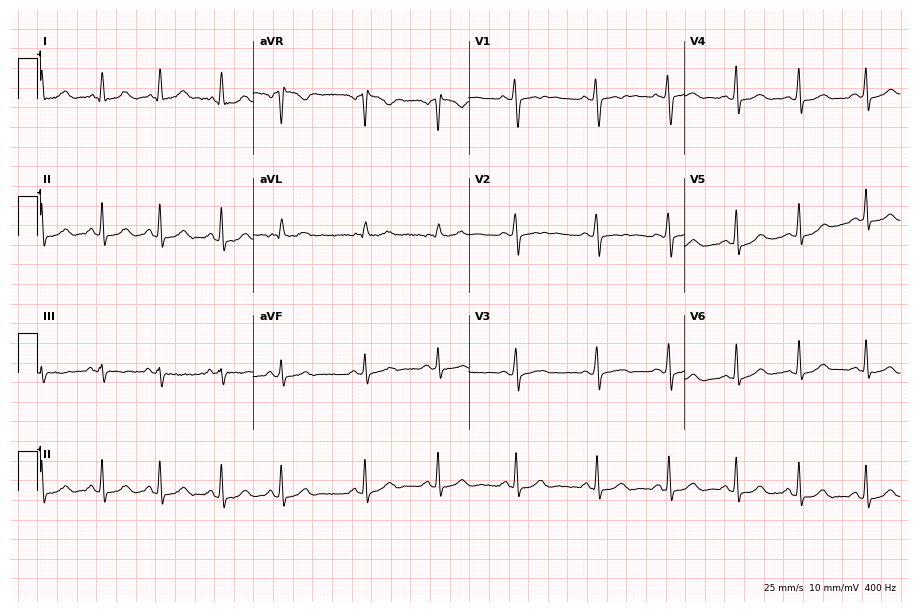
Standard 12-lead ECG recorded from a 17-year-old female (8.8-second recording at 400 Hz). Read as a normal ECG.